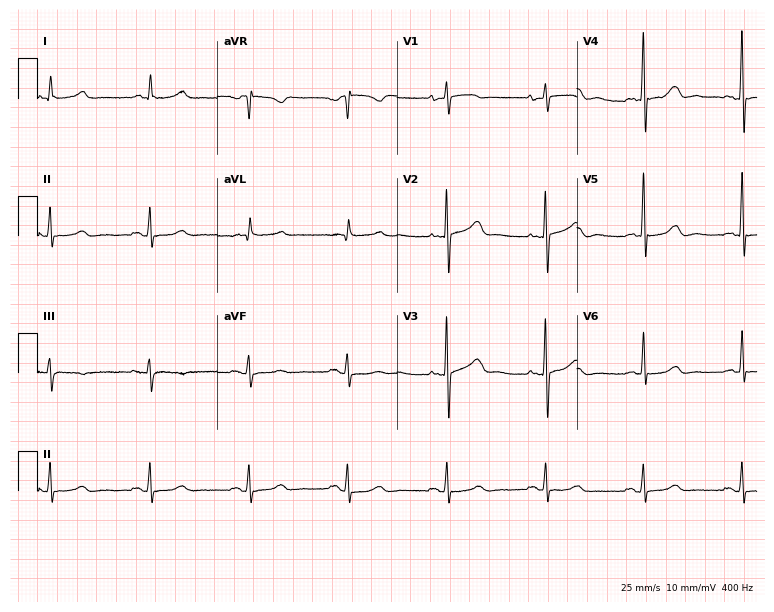
12-lead ECG from a female, 73 years old (7.3-second recording at 400 Hz). No first-degree AV block, right bundle branch block, left bundle branch block, sinus bradycardia, atrial fibrillation or sinus tachycardia recorded for this tracing.